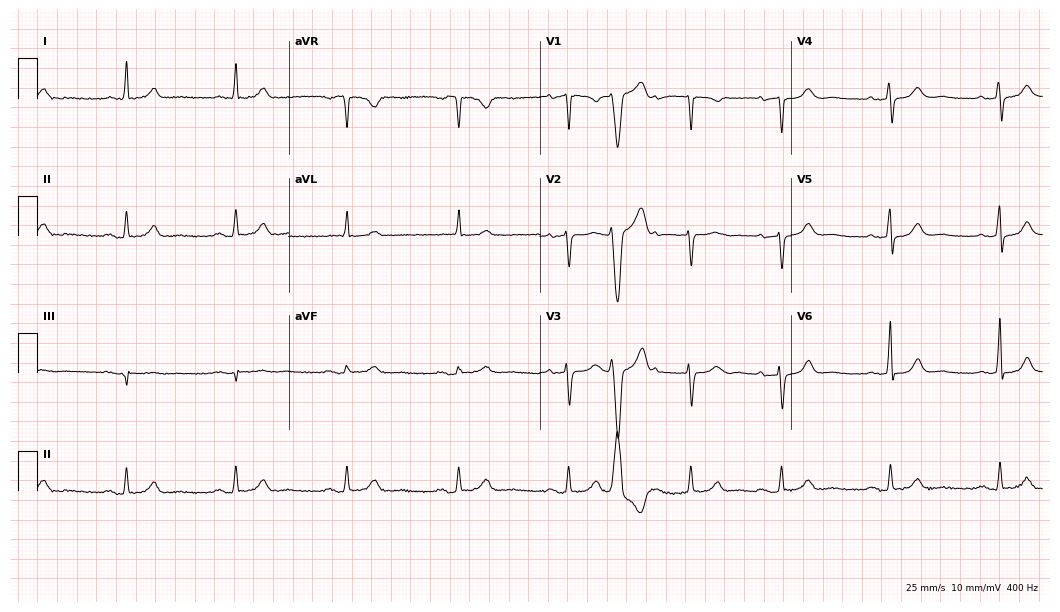
Resting 12-lead electrocardiogram (10.2-second recording at 400 Hz). Patient: a female, 60 years old. None of these six findings is recorded: first-degree AV block, right bundle branch block, left bundle branch block, sinus bradycardia, atrial fibrillation, sinus tachycardia.